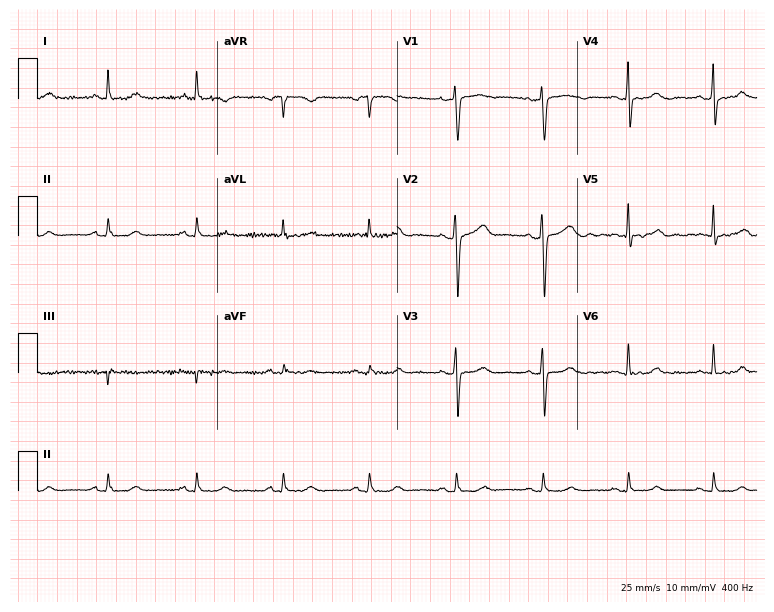
Electrocardiogram, a female, 57 years old. Overall reading on record: normal ECG.